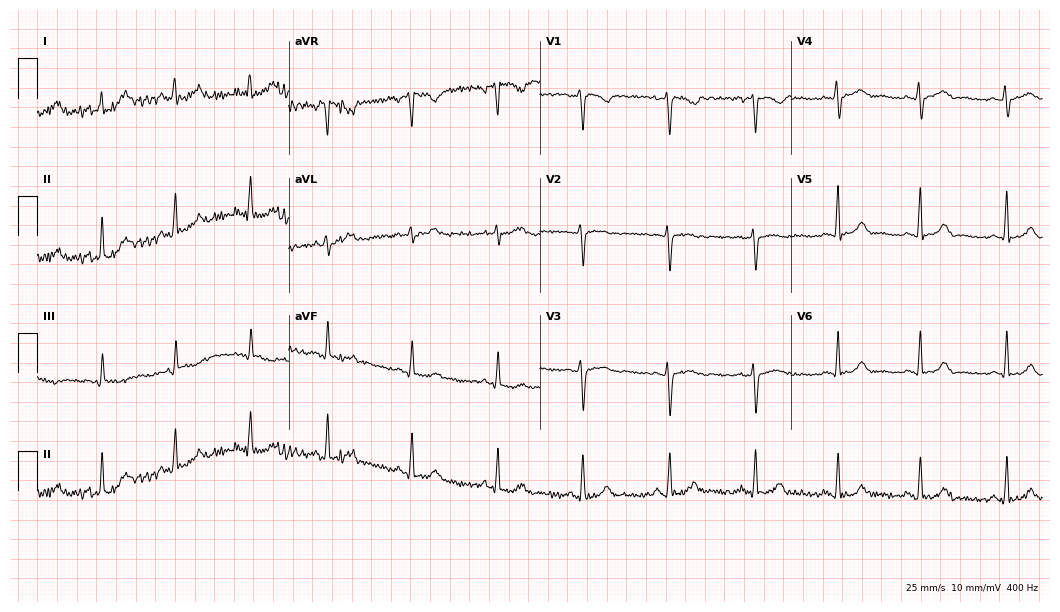
12-lead ECG (10.2-second recording at 400 Hz) from a 24-year-old woman. Labelled as a normal ECG.